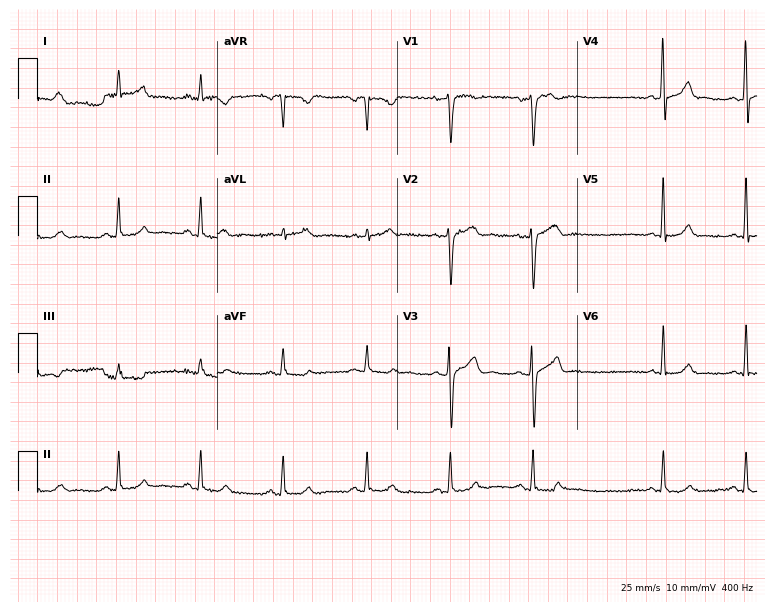
12-lead ECG (7.3-second recording at 400 Hz) from a 47-year-old man. Screened for six findings — first-degree AV block, right bundle branch block, left bundle branch block, sinus bradycardia, atrial fibrillation, sinus tachycardia — none is recorded. Only these six findings were labelled.